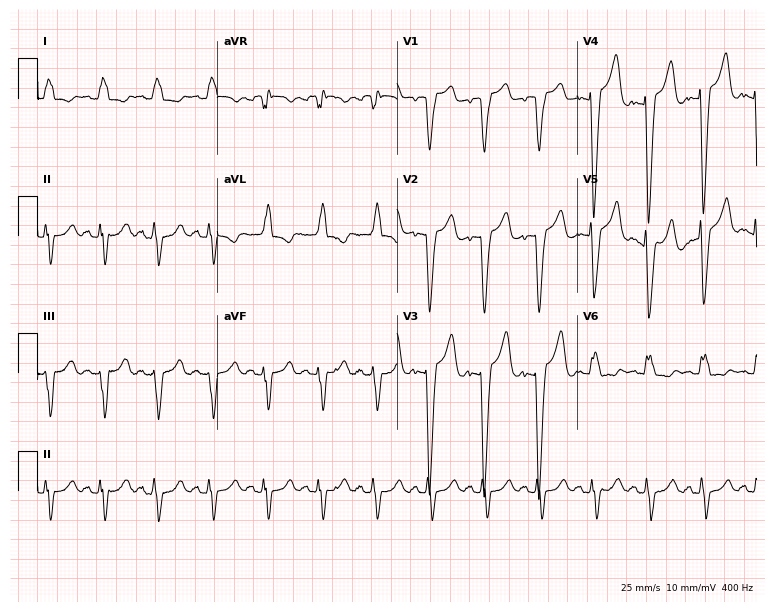
ECG (7.3-second recording at 400 Hz) — a 74-year-old woman. Findings include left bundle branch block (LBBB), sinus tachycardia (a sinus rate of 100 beats per minute or more).